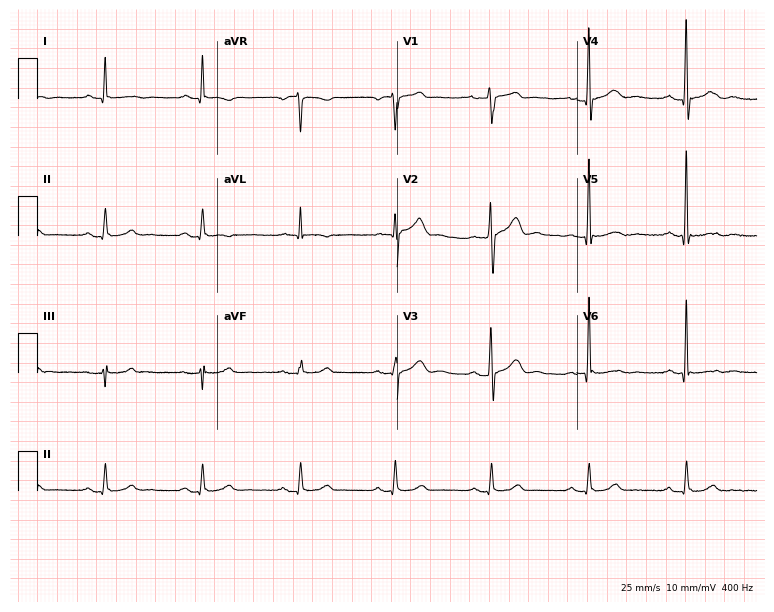
12-lead ECG from a 71-year-old male patient (7.3-second recording at 400 Hz). No first-degree AV block, right bundle branch block, left bundle branch block, sinus bradycardia, atrial fibrillation or sinus tachycardia recorded for this tracing. Other findings, if any, are not listed.